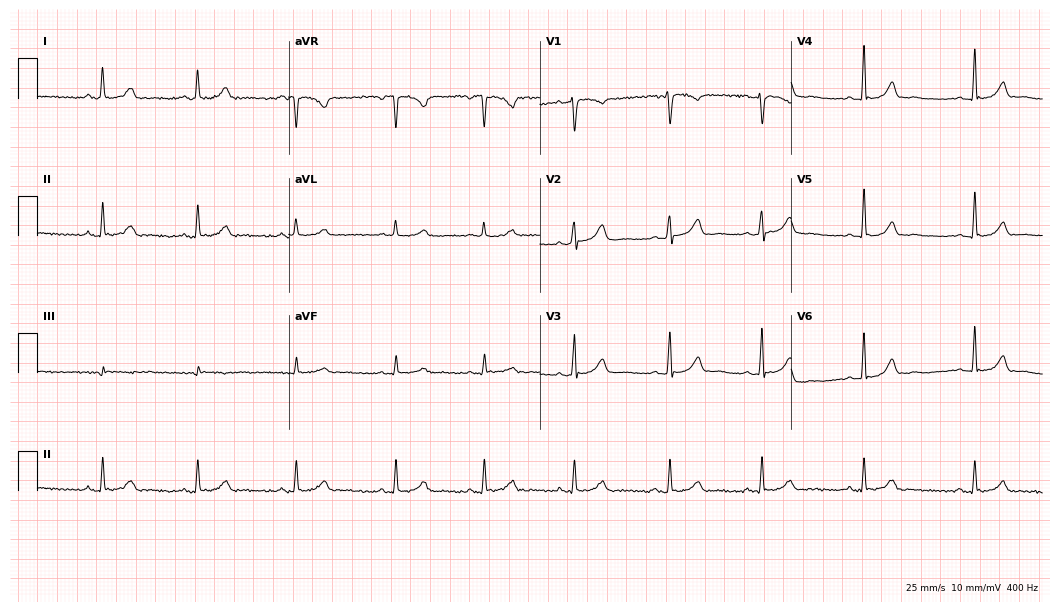
ECG — a 47-year-old woman. Labelled as a normal ECG.